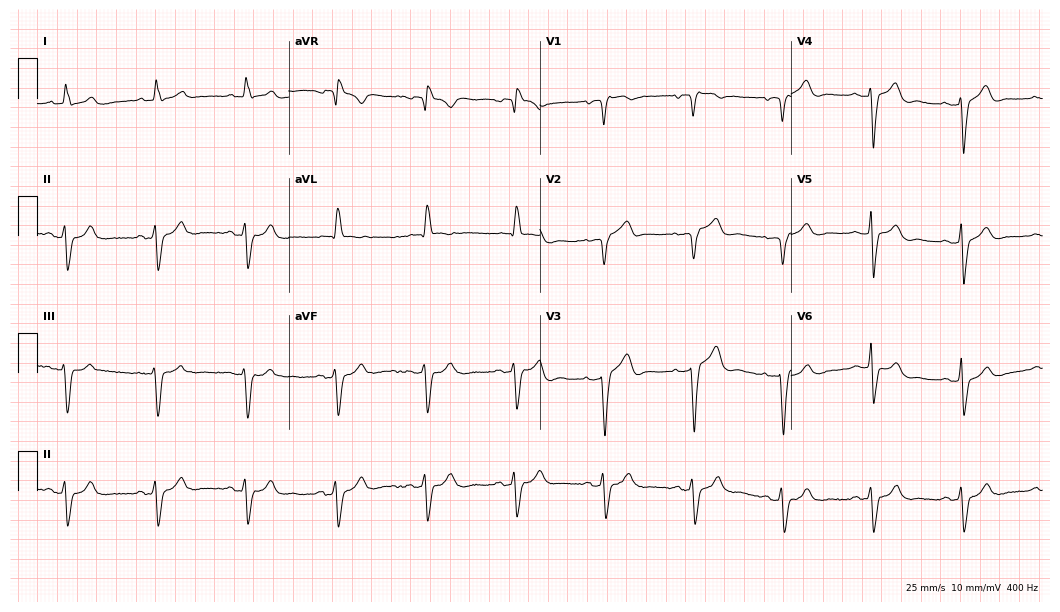
Resting 12-lead electrocardiogram. Patient: a male, 82 years old. None of these six findings is recorded: first-degree AV block, right bundle branch block, left bundle branch block, sinus bradycardia, atrial fibrillation, sinus tachycardia. Only these six findings were labelled.